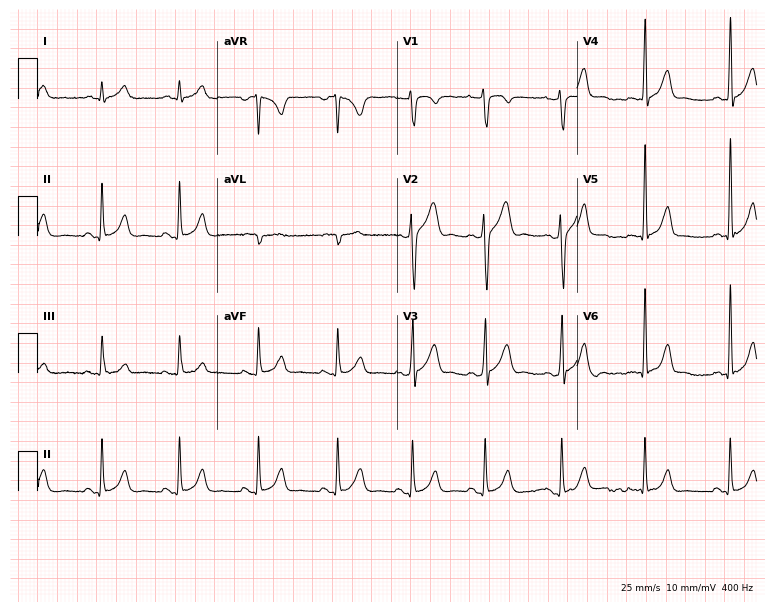
12-lead ECG (7.3-second recording at 400 Hz) from a male, 36 years old. Labelled as a normal ECG.